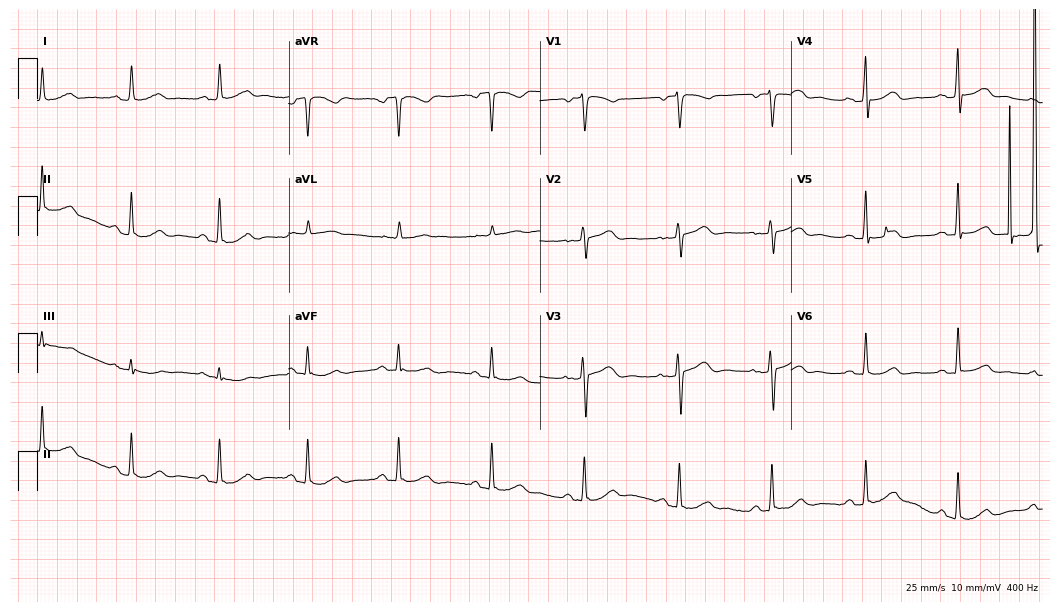
12-lead ECG from a woman, 67 years old. Labelled as a normal ECG.